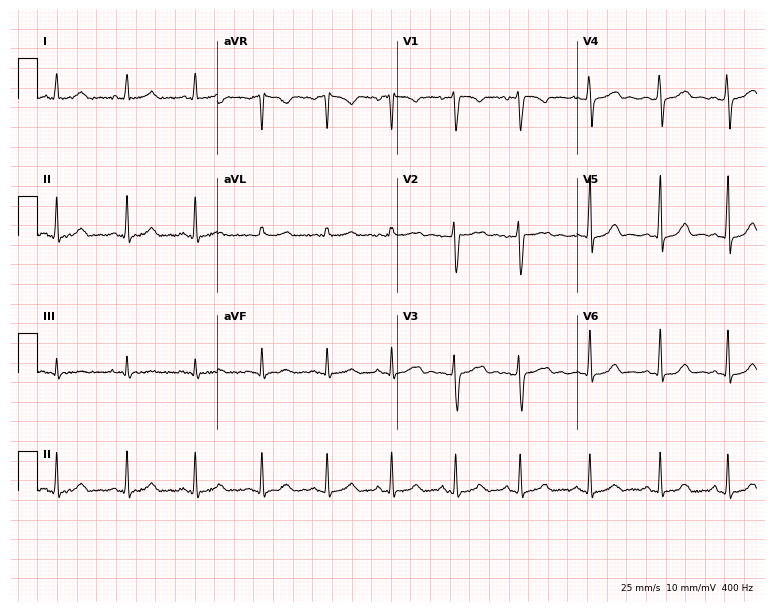
12-lead ECG (7.3-second recording at 400 Hz) from a 34-year-old female patient. Labelled as a normal ECG.